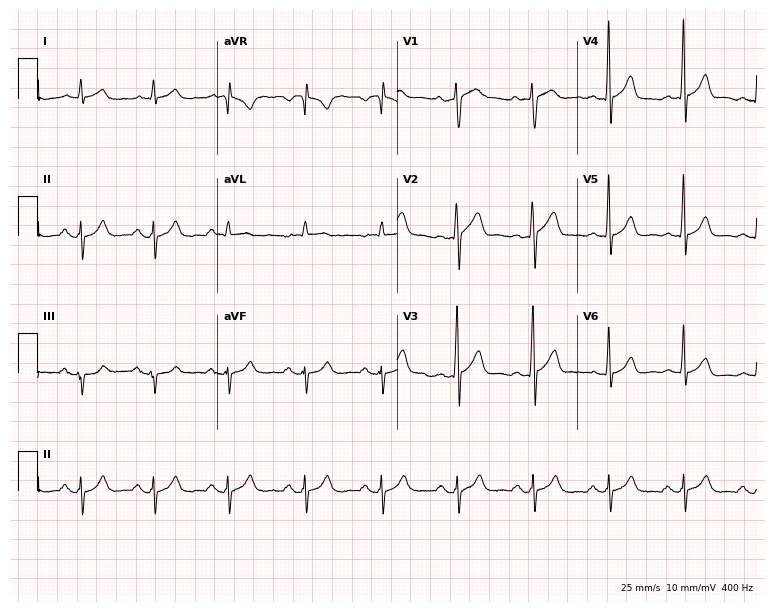
ECG — a male patient, 67 years old. Screened for six findings — first-degree AV block, right bundle branch block (RBBB), left bundle branch block (LBBB), sinus bradycardia, atrial fibrillation (AF), sinus tachycardia — none is recorded. Other findings, if any, are not listed.